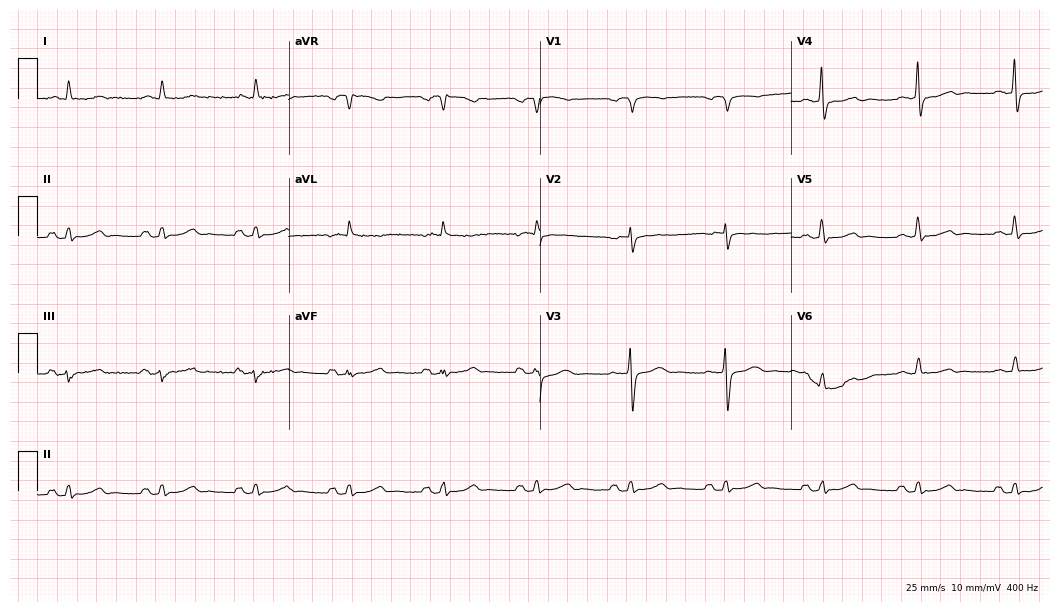
ECG — a man, 82 years old. Labelled as a normal ECG.